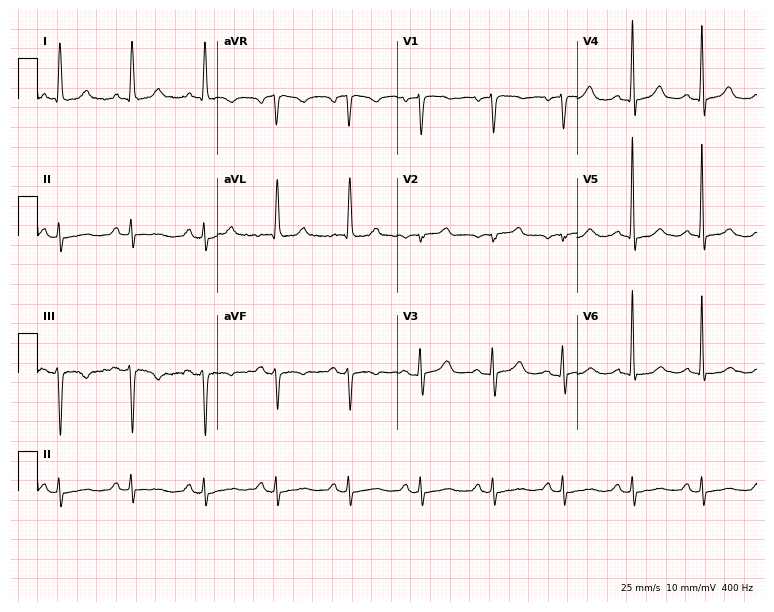
ECG (7.3-second recording at 400 Hz) — a female, 77 years old. Screened for six findings — first-degree AV block, right bundle branch block, left bundle branch block, sinus bradycardia, atrial fibrillation, sinus tachycardia — none is recorded.